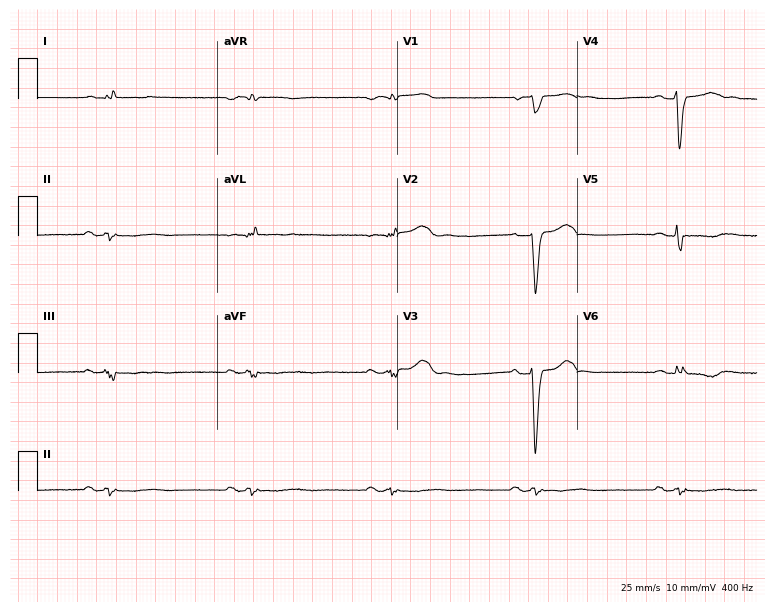
12-lead ECG (7.3-second recording at 400 Hz) from a 74-year-old man. Findings include first-degree AV block, sinus bradycardia (a sinus rate of 50 beats per minute or less).